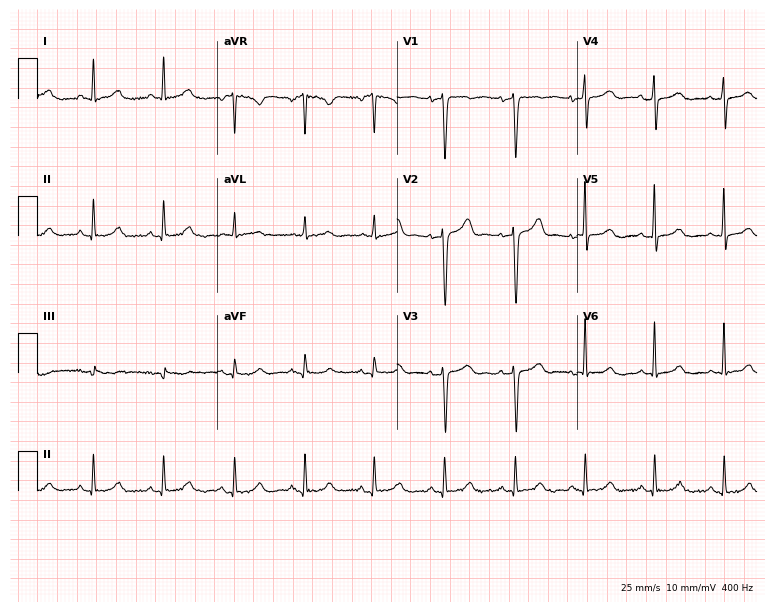
12-lead ECG from a female patient, 76 years old. Labelled as a normal ECG.